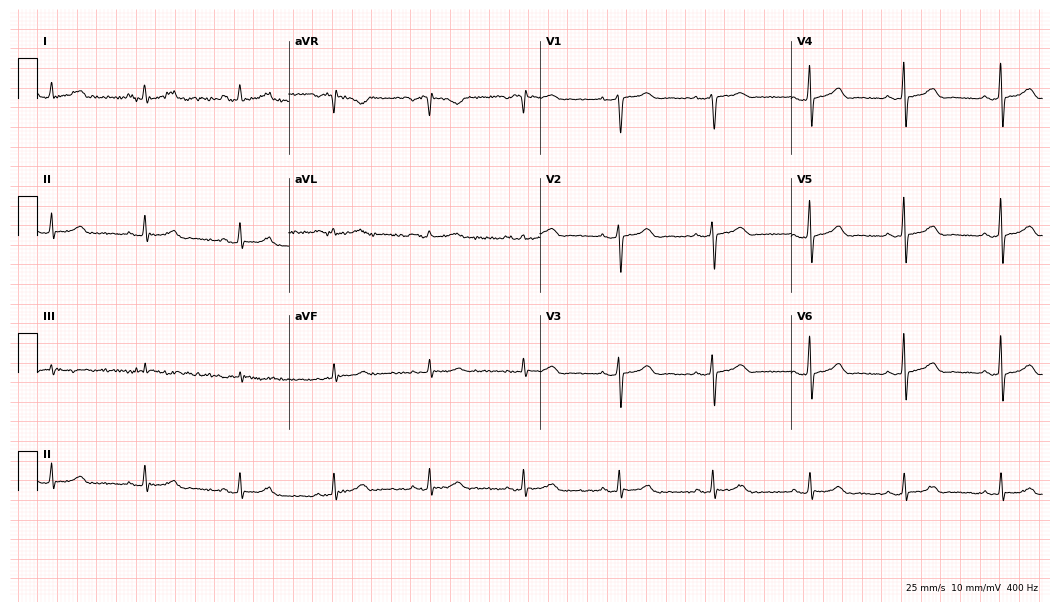
12-lead ECG from a 68-year-old female patient (10.2-second recording at 400 Hz). No first-degree AV block, right bundle branch block, left bundle branch block, sinus bradycardia, atrial fibrillation or sinus tachycardia recorded for this tracing.